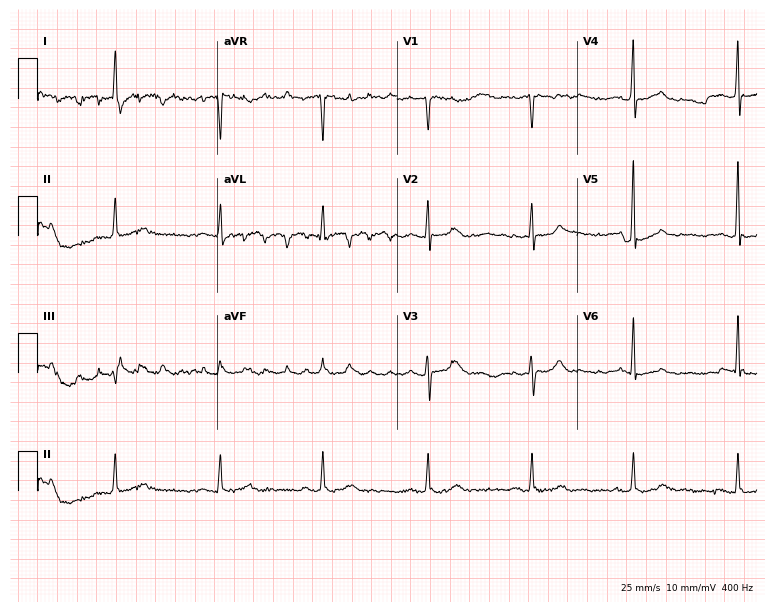
Standard 12-lead ECG recorded from a male patient, 73 years old (7.3-second recording at 400 Hz). None of these six findings is recorded: first-degree AV block, right bundle branch block (RBBB), left bundle branch block (LBBB), sinus bradycardia, atrial fibrillation (AF), sinus tachycardia. Other findings, if any, are not listed.